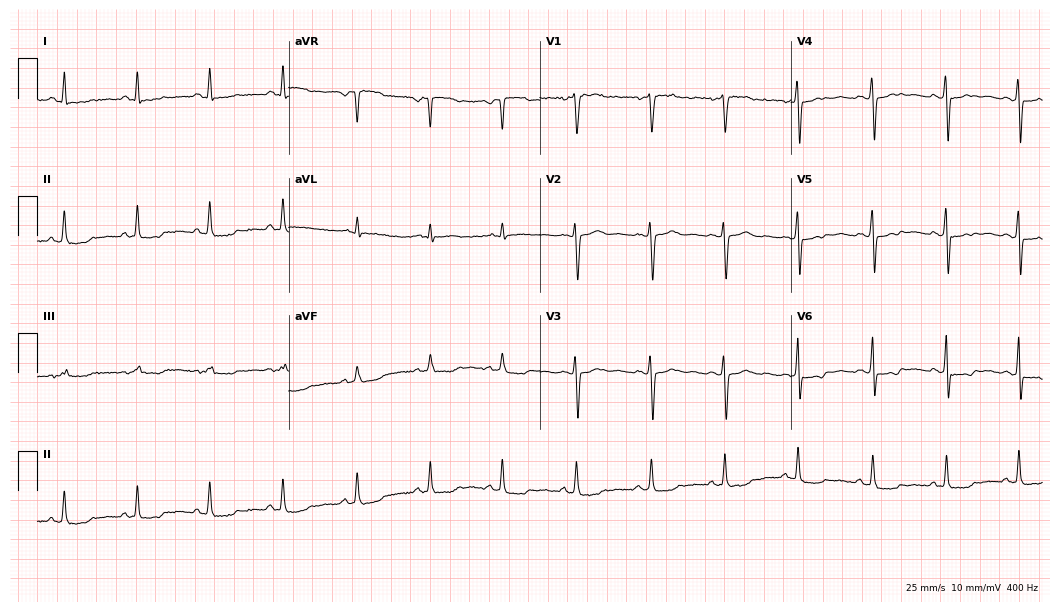
12-lead ECG from a female, 52 years old. Screened for six findings — first-degree AV block, right bundle branch block, left bundle branch block, sinus bradycardia, atrial fibrillation, sinus tachycardia — none is recorded. Only these six findings were labelled.